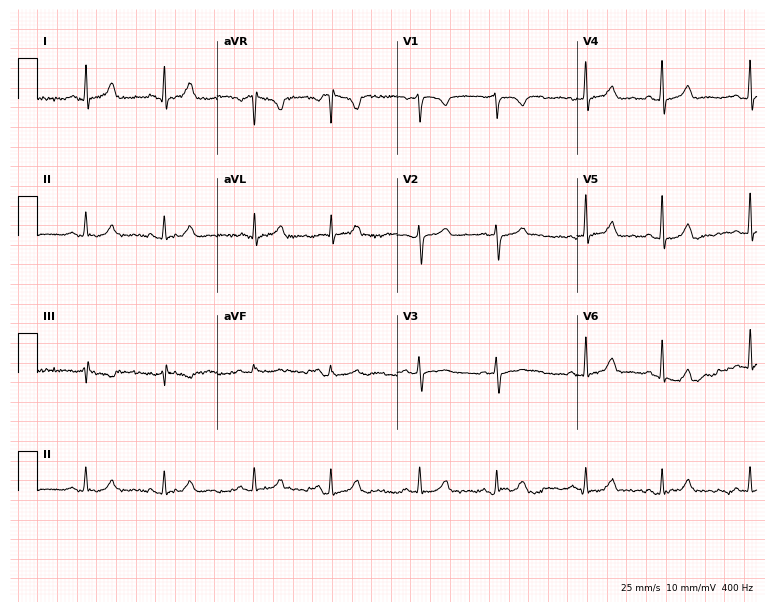
Standard 12-lead ECG recorded from a female, 39 years old. Read as a normal ECG.